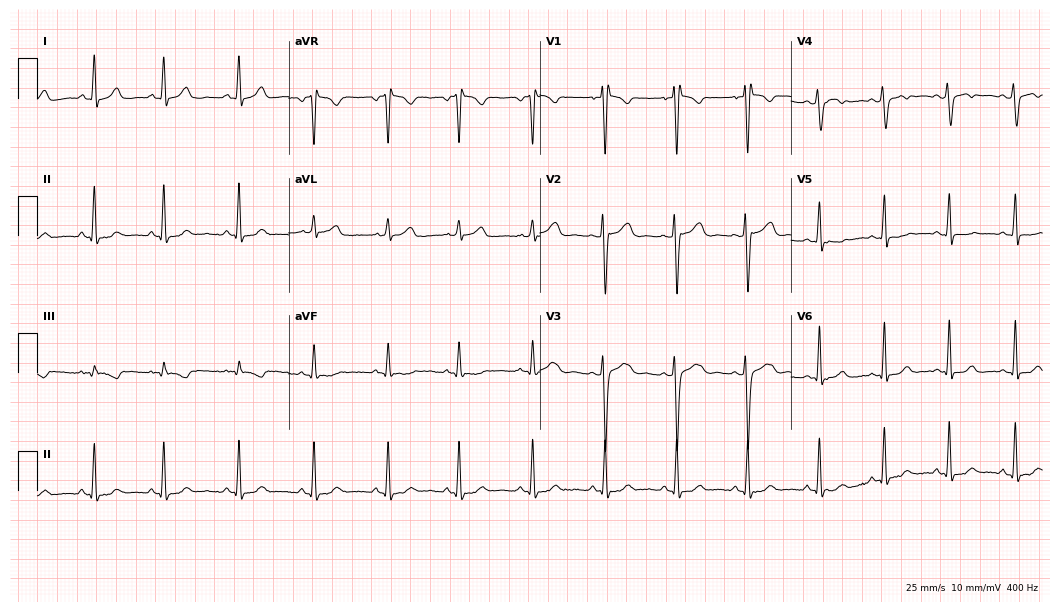
12-lead ECG from a female, 18 years old. Screened for six findings — first-degree AV block, right bundle branch block, left bundle branch block, sinus bradycardia, atrial fibrillation, sinus tachycardia — none is recorded.